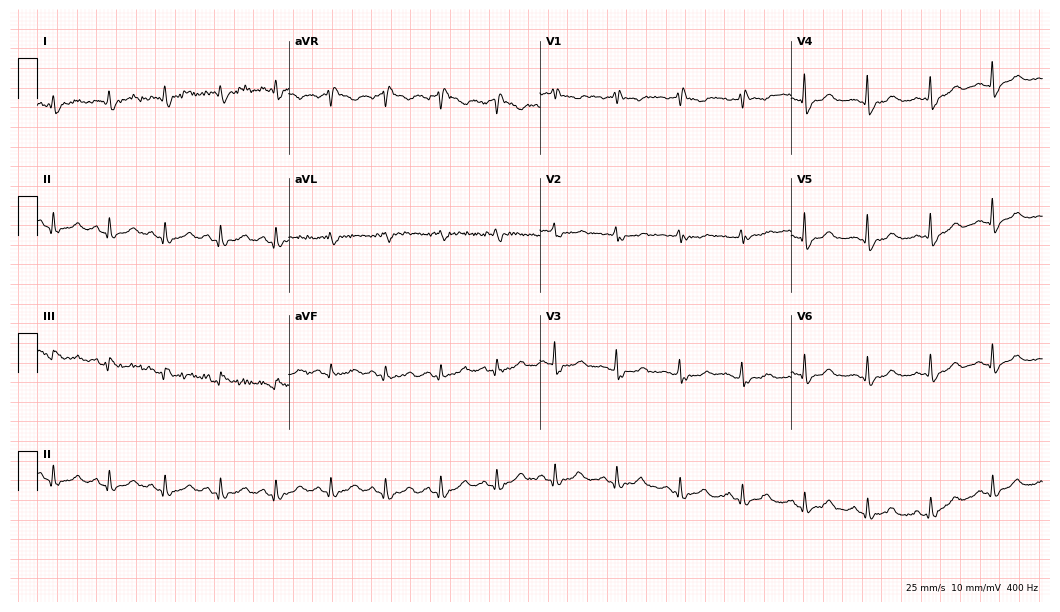
Standard 12-lead ECG recorded from a female patient, 52 years old. None of these six findings is recorded: first-degree AV block, right bundle branch block, left bundle branch block, sinus bradycardia, atrial fibrillation, sinus tachycardia. Other findings, if any, are not listed.